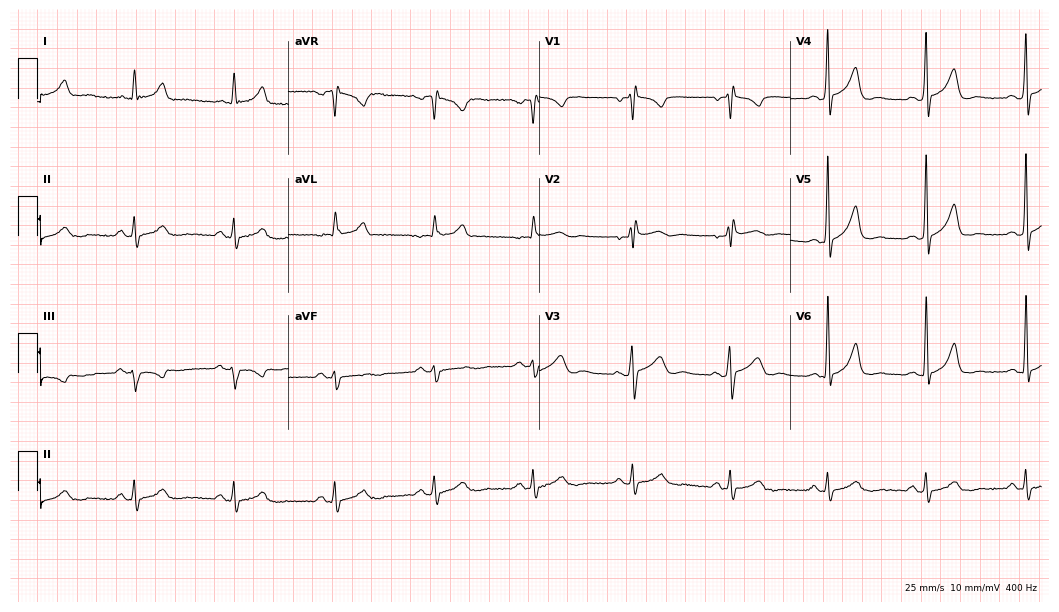
Electrocardiogram, a male patient, 55 years old. Overall reading on record: normal ECG.